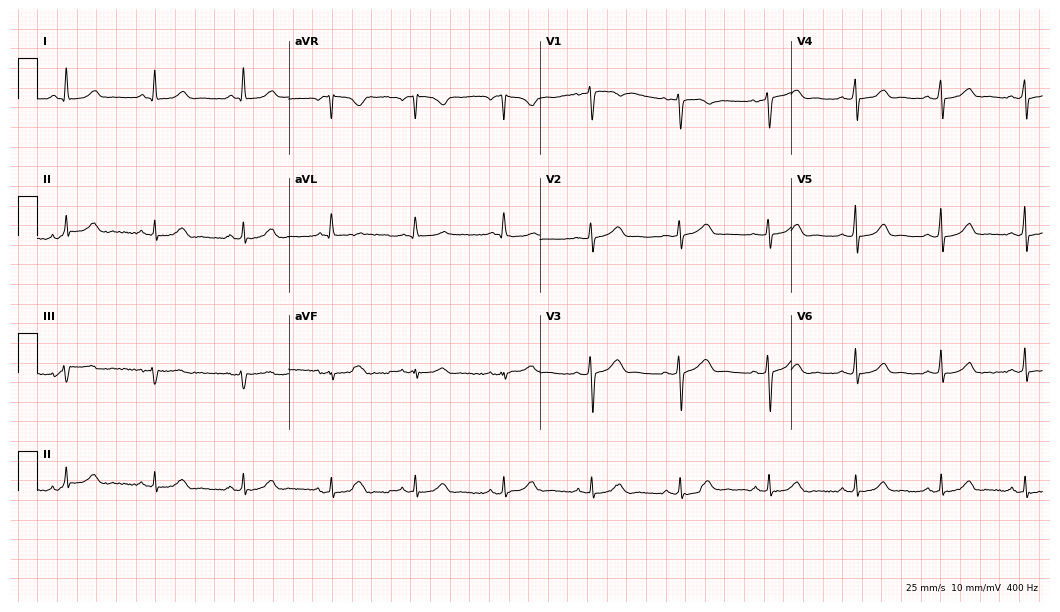
12-lead ECG from a woman, 52 years old. Labelled as a normal ECG.